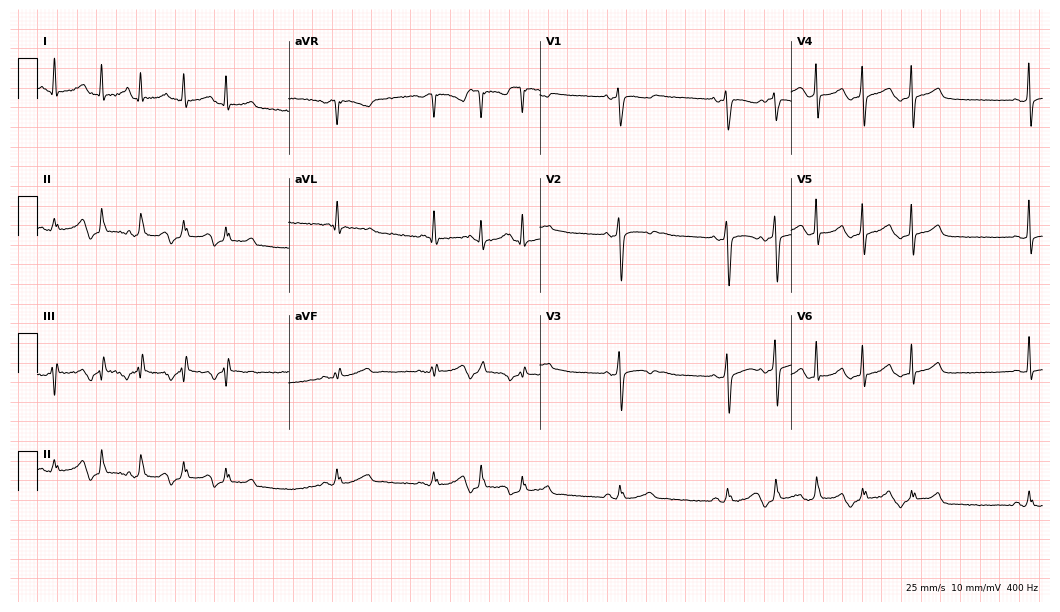
Resting 12-lead electrocardiogram (10.2-second recording at 400 Hz). Patient: a 44-year-old female. None of these six findings is recorded: first-degree AV block, right bundle branch block, left bundle branch block, sinus bradycardia, atrial fibrillation, sinus tachycardia. Other findings, if any, are not listed.